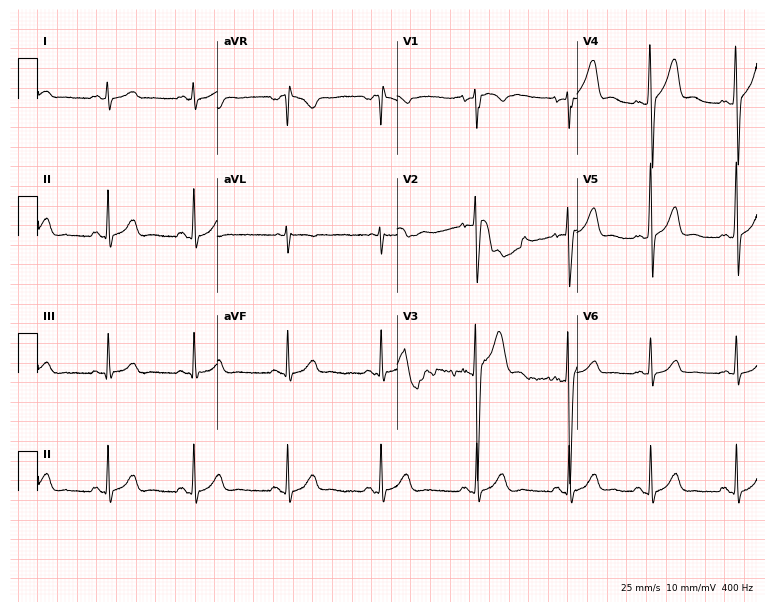
Standard 12-lead ECG recorded from a 25-year-old man (7.3-second recording at 400 Hz). Read as a normal ECG.